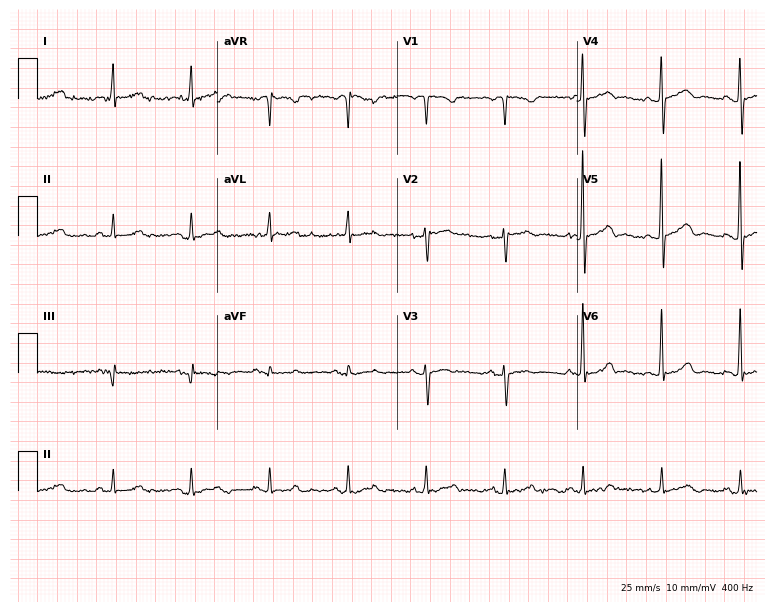
Electrocardiogram, a woman, 66 years old. Overall reading on record: normal ECG.